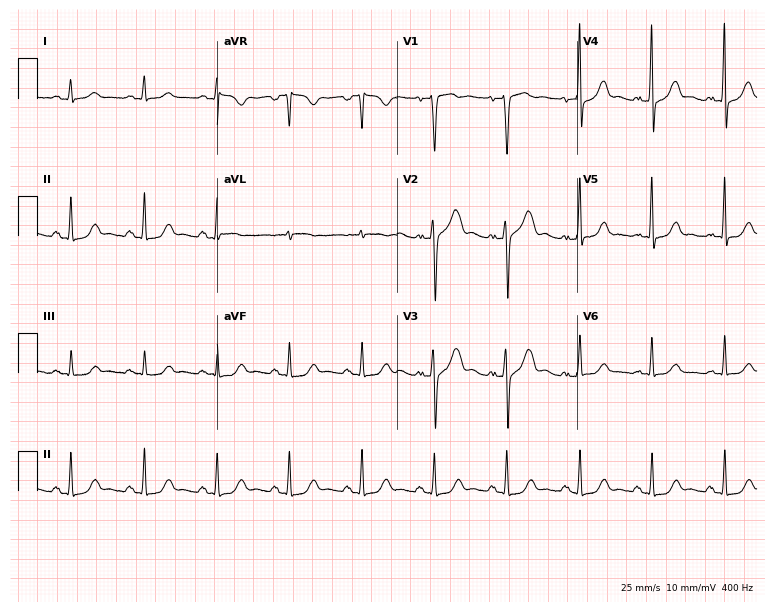
Resting 12-lead electrocardiogram (7.3-second recording at 400 Hz). Patient: a 48-year-old male. Read as a normal ECG.